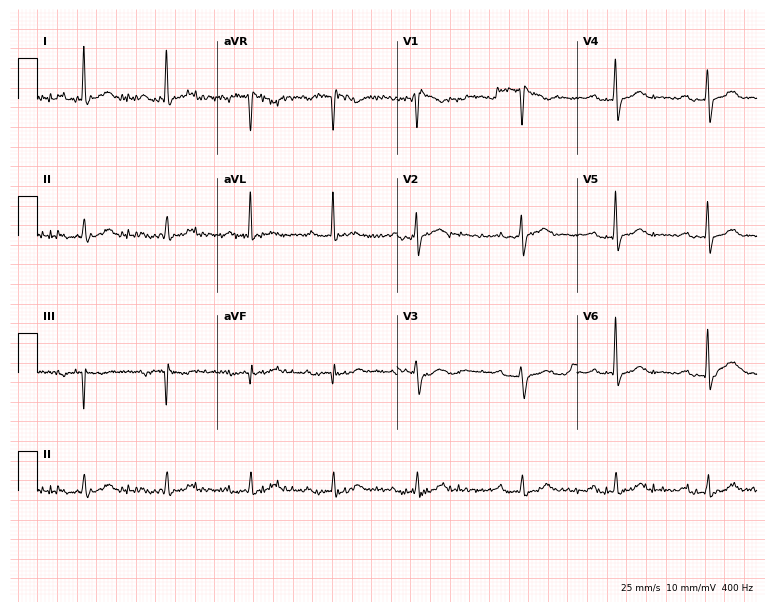
Resting 12-lead electrocardiogram (7.3-second recording at 400 Hz). Patient: a male, 86 years old. The tracing shows first-degree AV block.